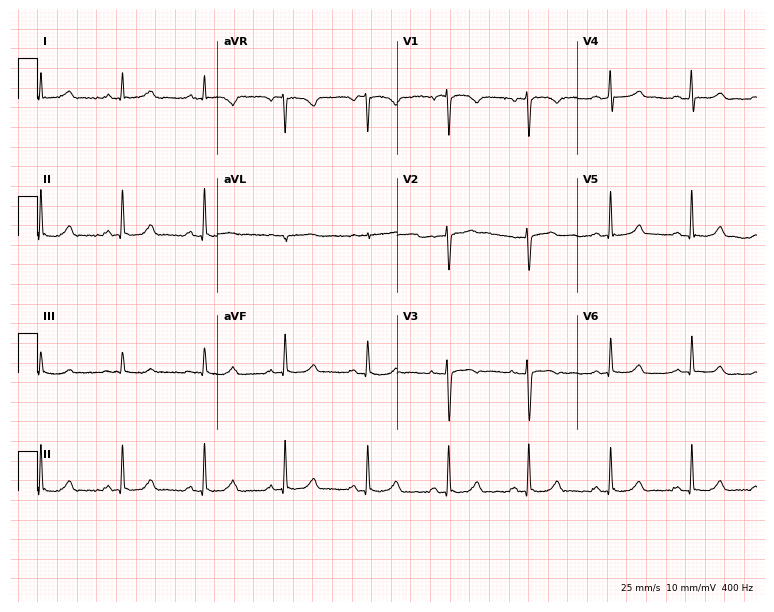
12-lead ECG from a 48-year-old female. Labelled as a normal ECG.